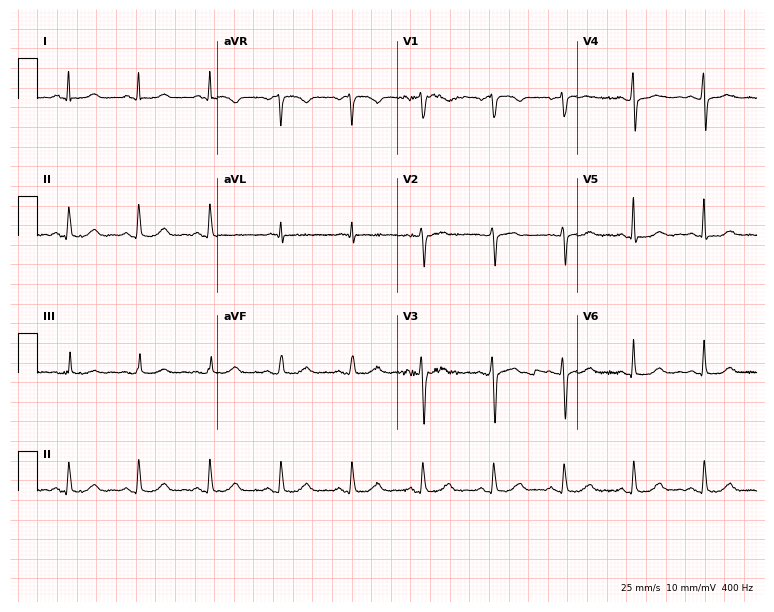
Standard 12-lead ECG recorded from a woman, 57 years old (7.3-second recording at 400 Hz). None of these six findings is recorded: first-degree AV block, right bundle branch block (RBBB), left bundle branch block (LBBB), sinus bradycardia, atrial fibrillation (AF), sinus tachycardia. Findings outside these six are not listed.